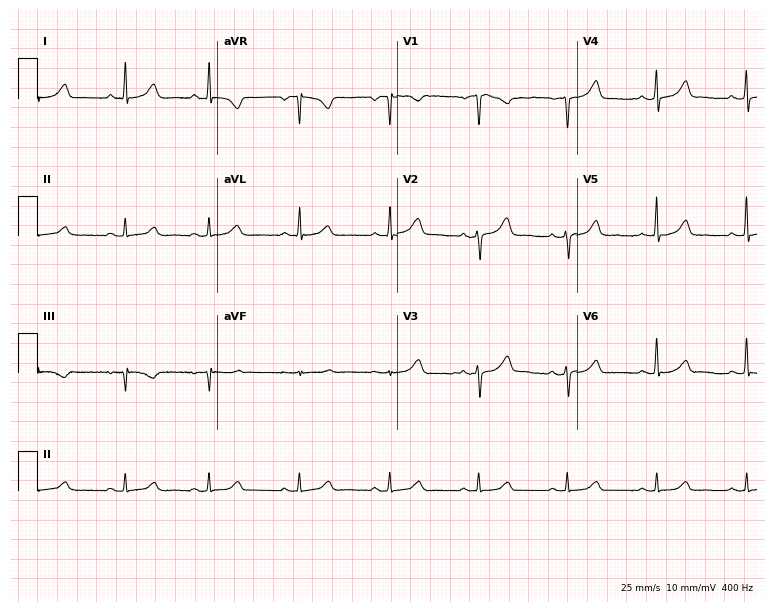
Electrocardiogram (7.3-second recording at 400 Hz), a female patient, 43 years old. Overall reading on record: normal ECG.